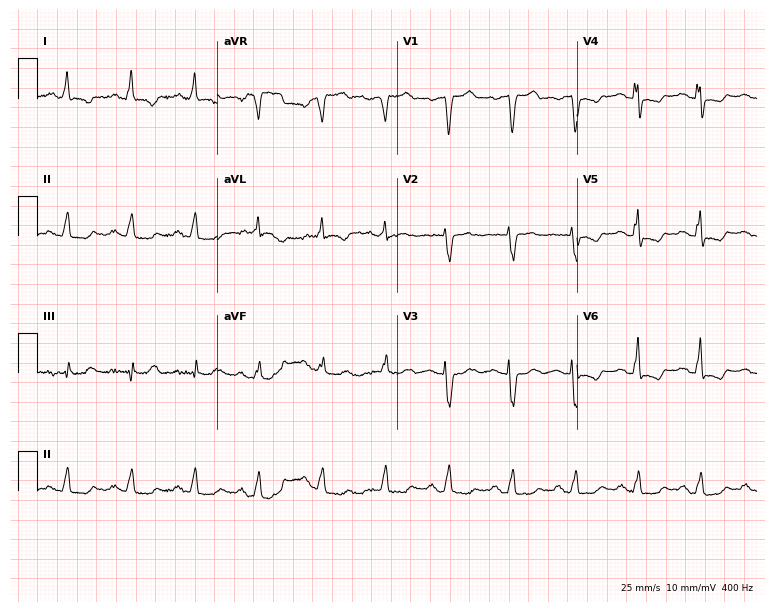
12-lead ECG from a female patient, 77 years old. No first-degree AV block, right bundle branch block, left bundle branch block, sinus bradycardia, atrial fibrillation or sinus tachycardia recorded for this tracing. Only these six findings were labelled.